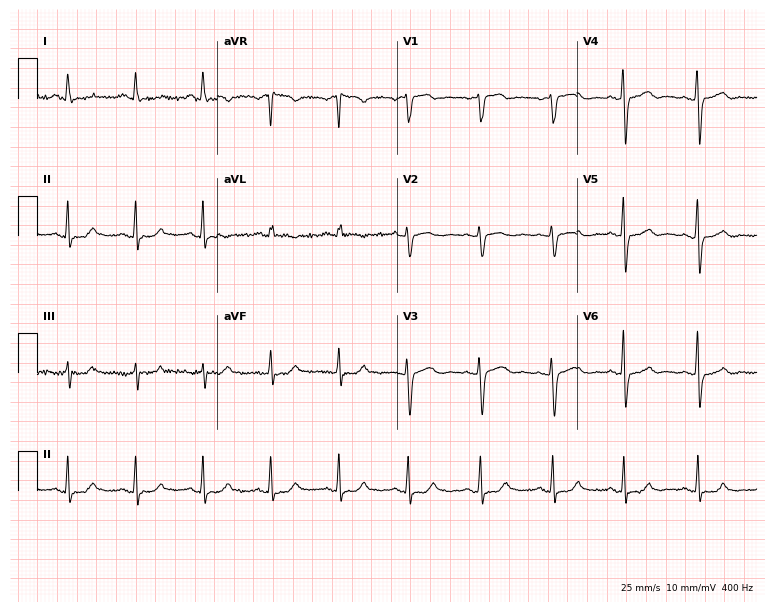
Resting 12-lead electrocardiogram (7.3-second recording at 400 Hz). Patient: a female, 75 years old. None of these six findings is recorded: first-degree AV block, right bundle branch block, left bundle branch block, sinus bradycardia, atrial fibrillation, sinus tachycardia.